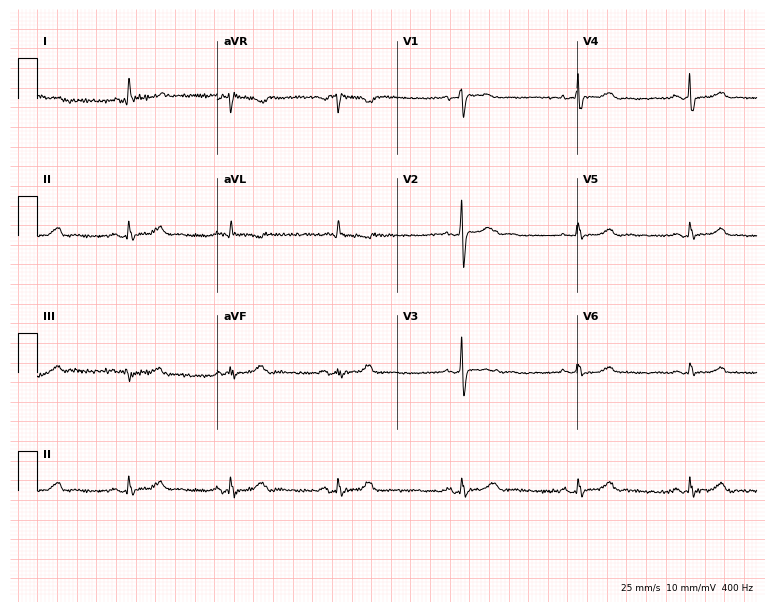
Electrocardiogram (7.3-second recording at 400 Hz), a 63-year-old female patient. Overall reading on record: normal ECG.